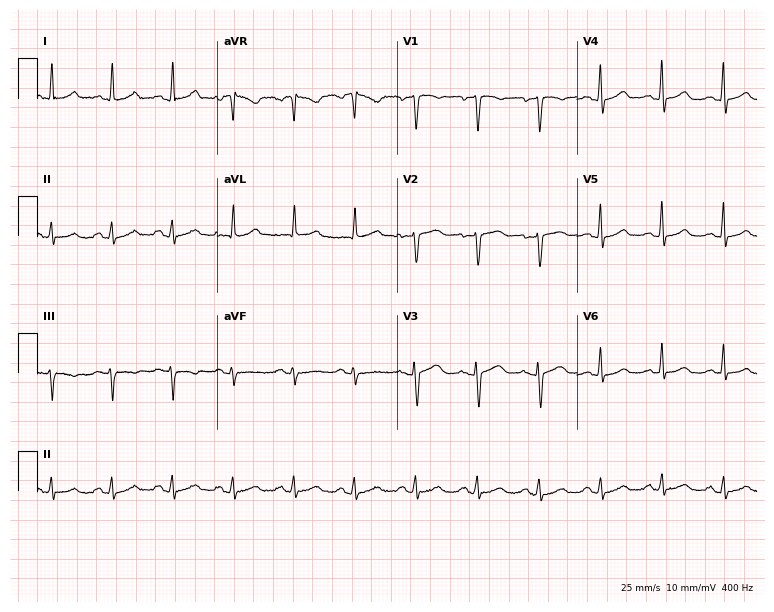
Standard 12-lead ECG recorded from a 45-year-old female. None of these six findings is recorded: first-degree AV block, right bundle branch block (RBBB), left bundle branch block (LBBB), sinus bradycardia, atrial fibrillation (AF), sinus tachycardia. Findings outside these six are not listed.